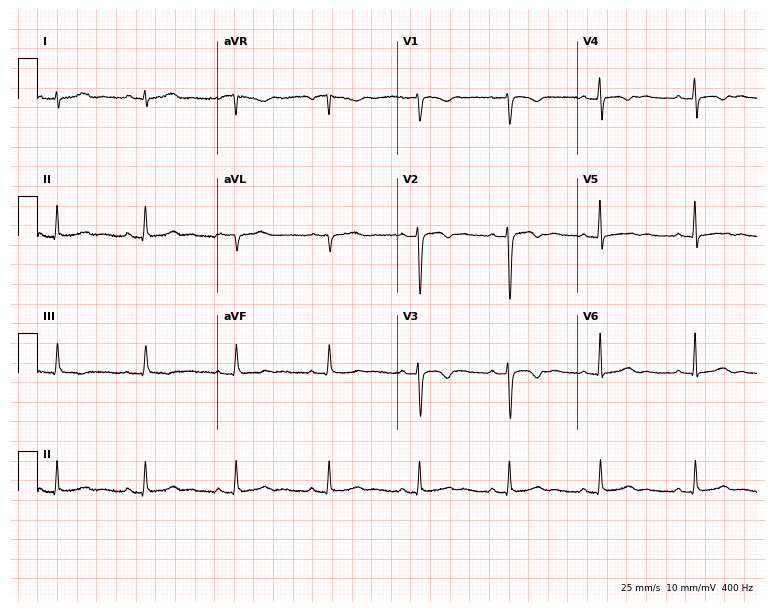
ECG — a woman, 43 years old. Screened for six findings — first-degree AV block, right bundle branch block, left bundle branch block, sinus bradycardia, atrial fibrillation, sinus tachycardia — none is recorded.